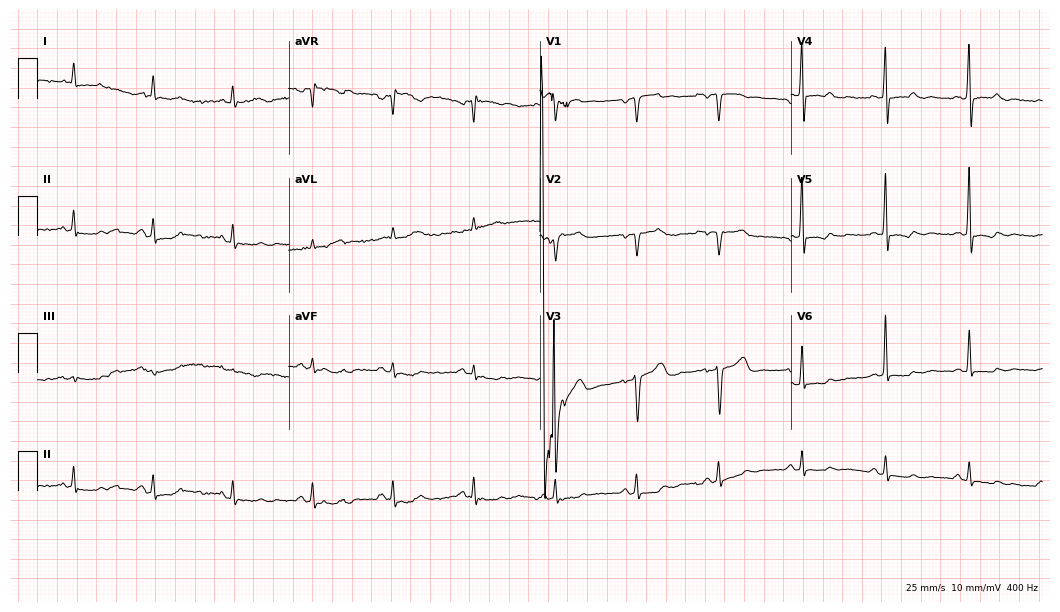
Resting 12-lead electrocardiogram (10.2-second recording at 400 Hz). Patient: a man, 47 years old. None of these six findings is recorded: first-degree AV block, right bundle branch block, left bundle branch block, sinus bradycardia, atrial fibrillation, sinus tachycardia.